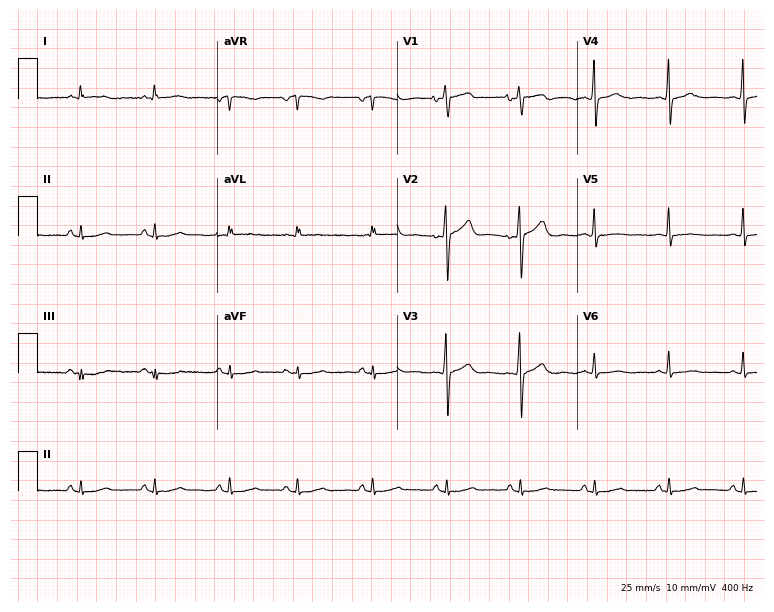
12-lead ECG from a male, 60 years old (7.3-second recording at 400 Hz). No first-degree AV block, right bundle branch block (RBBB), left bundle branch block (LBBB), sinus bradycardia, atrial fibrillation (AF) or sinus tachycardia recorded for this tracing. Other findings, if any, are not listed.